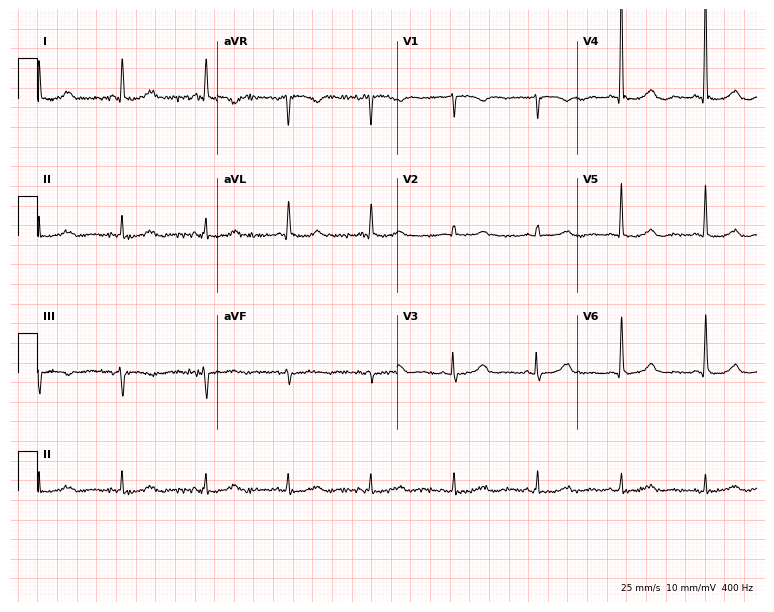
Standard 12-lead ECG recorded from an 82-year-old female (7.3-second recording at 400 Hz). Read as a normal ECG.